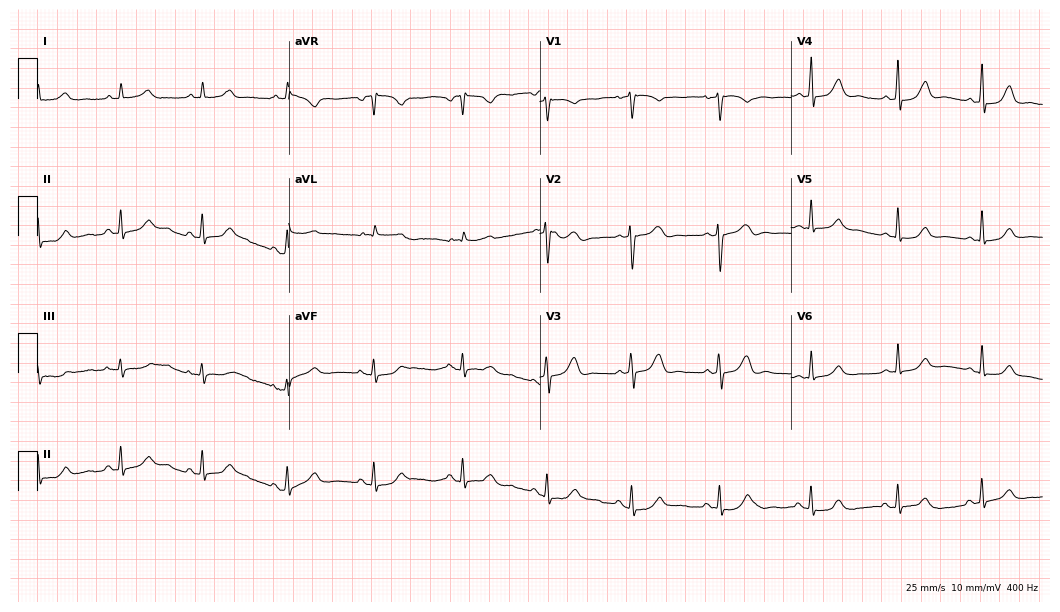
12-lead ECG (10.2-second recording at 400 Hz) from a 64-year-old female. Labelled as a normal ECG.